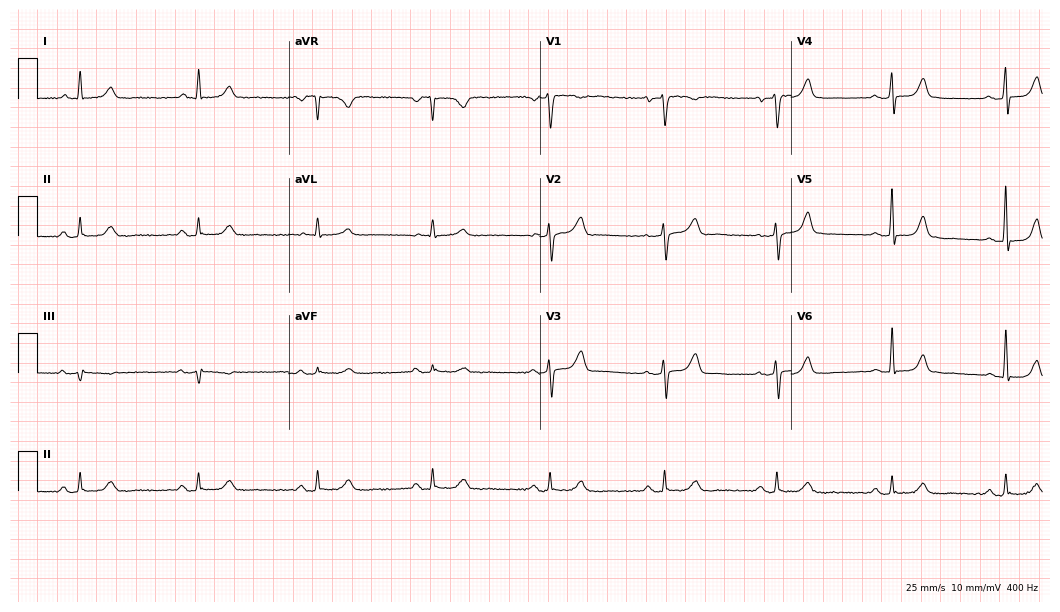
ECG (10.2-second recording at 400 Hz) — a 71-year-old female patient. Screened for six findings — first-degree AV block, right bundle branch block, left bundle branch block, sinus bradycardia, atrial fibrillation, sinus tachycardia — none is recorded. Only these six findings were labelled.